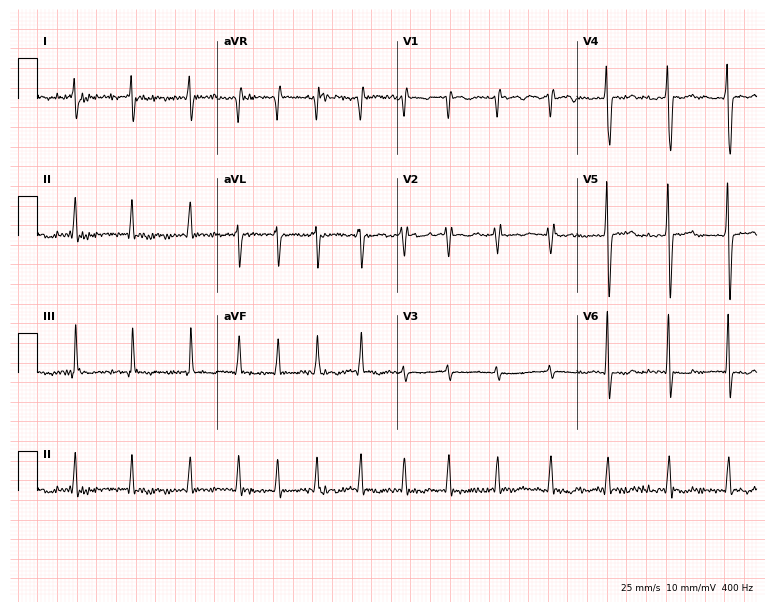
ECG (7.3-second recording at 400 Hz) — a 58-year-old female. Screened for six findings — first-degree AV block, right bundle branch block, left bundle branch block, sinus bradycardia, atrial fibrillation, sinus tachycardia — none is recorded. Findings outside these six are not listed.